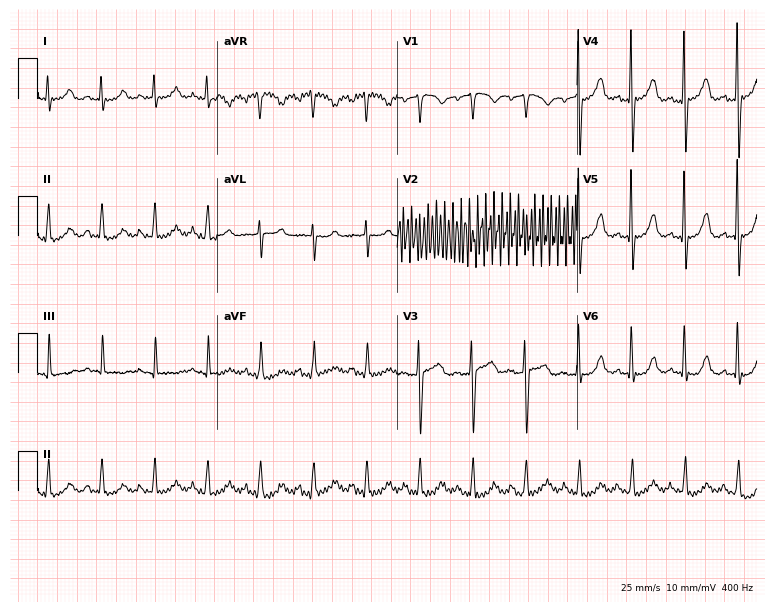
12-lead ECG (7.3-second recording at 400 Hz) from an 83-year-old female patient. Screened for six findings — first-degree AV block, right bundle branch block (RBBB), left bundle branch block (LBBB), sinus bradycardia, atrial fibrillation (AF), sinus tachycardia — none is recorded. Other findings, if any, are not listed.